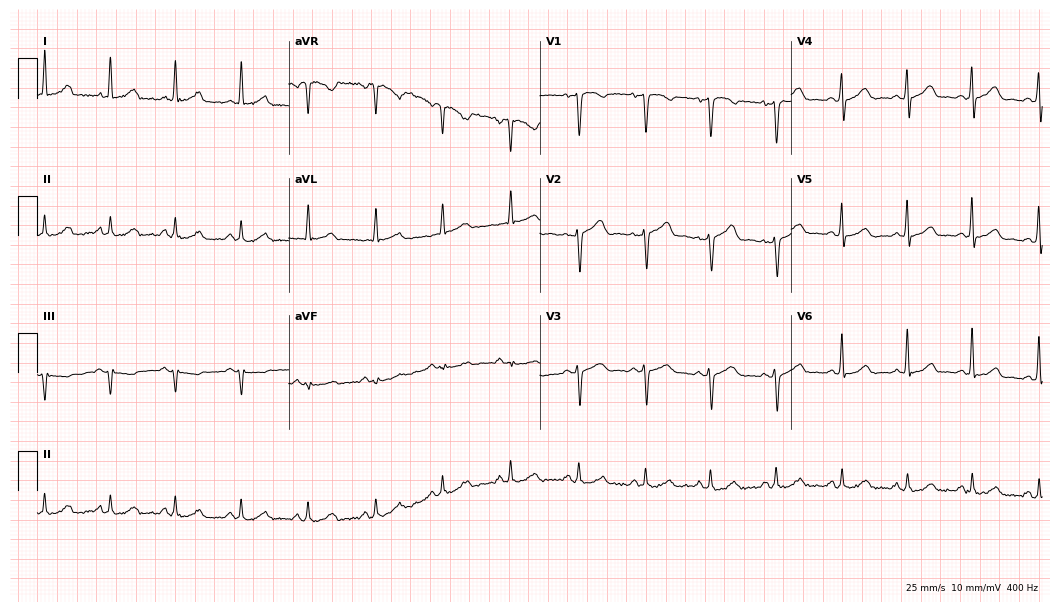
12-lead ECG (10.2-second recording at 400 Hz) from a female, 47 years old. Labelled as a normal ECG.